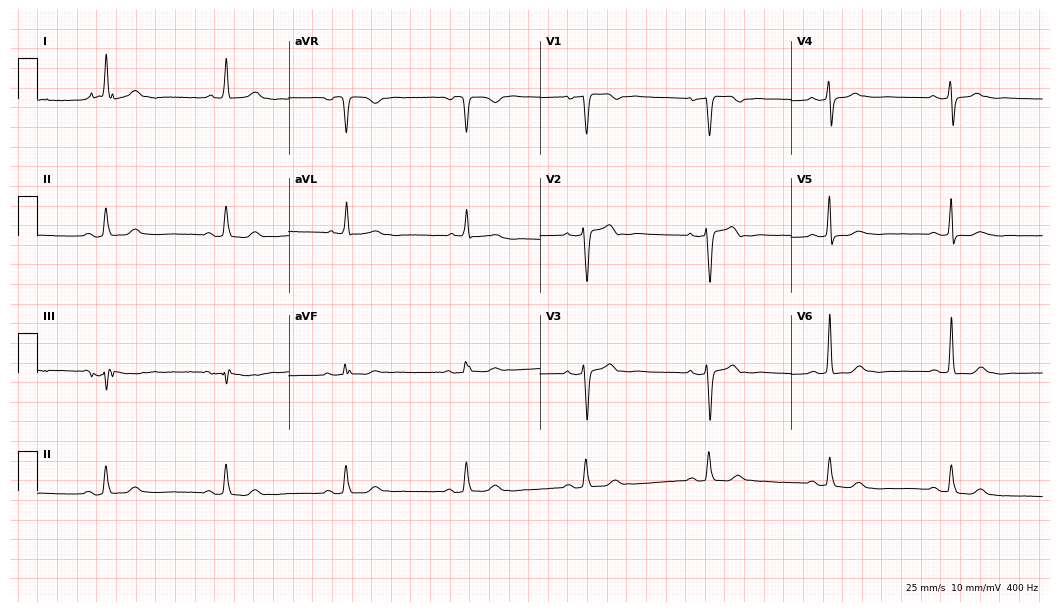
12-lead ECG from a woman, 76 years old (10.2-second recording at 400 Hz). Recorded interpretation: within normal limits.